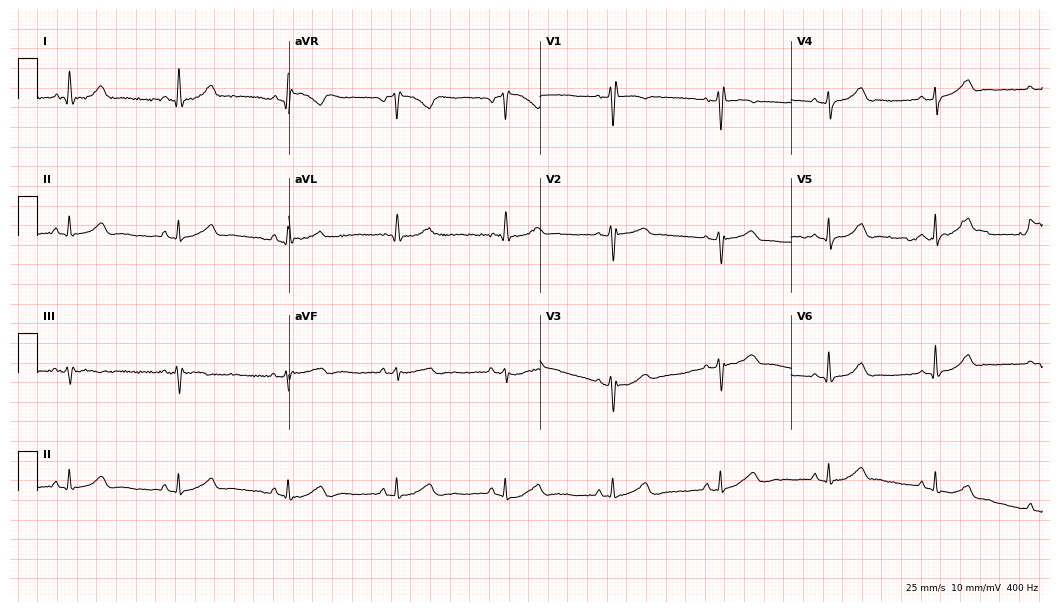
Standard 12-lead ECG recorded from a woman, 64 years old (10.2-second recording at 400 Hz). None of these six findings is recorded: first-degree AV block, right bundle branch block (RBBB), left bundle branch block (LBBB), sinus bradycardia, atrial fibrillation (AF), sinus tachycardia. Findings outside these six are not listed.